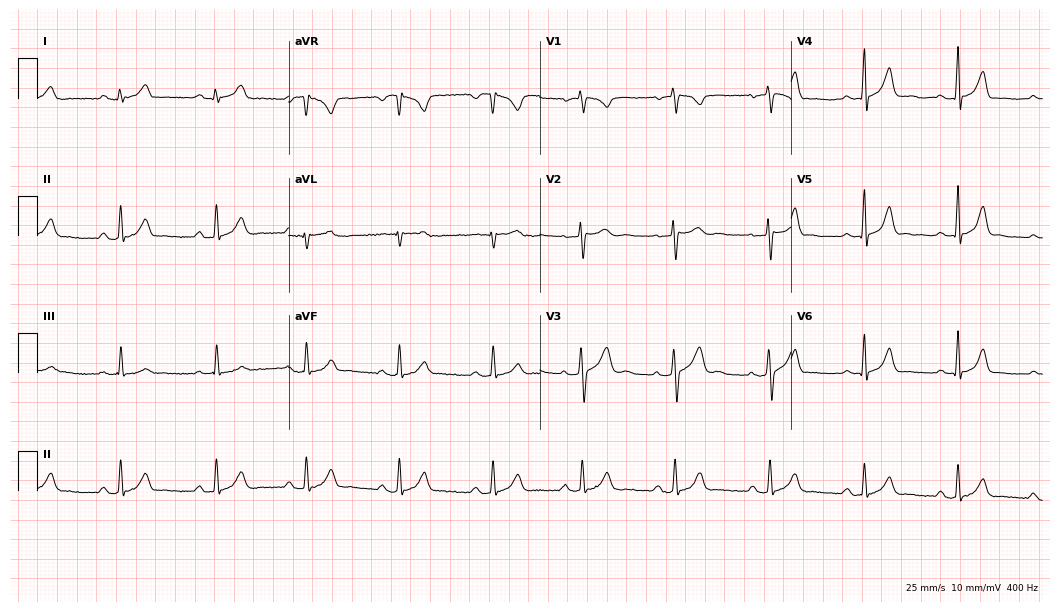
Resting 12-lead electrocardiogram (10.2-second recording at 400 Hz). Patient: a 34-year-old male. Read as a normal ECG.